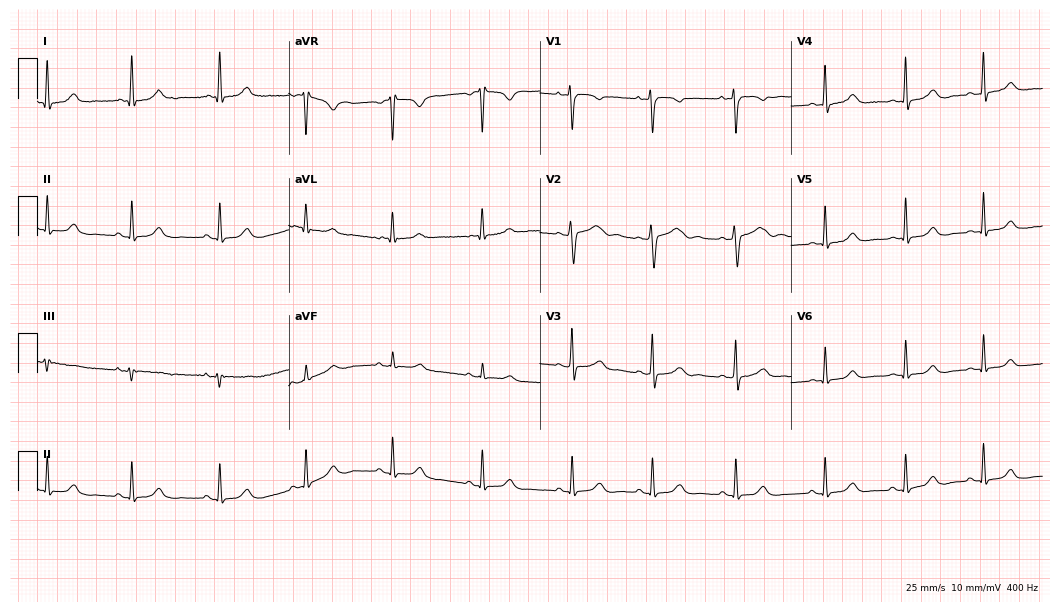
Electrocardiogram, a 38-year-old female. Overall reading on record: normal ECG.